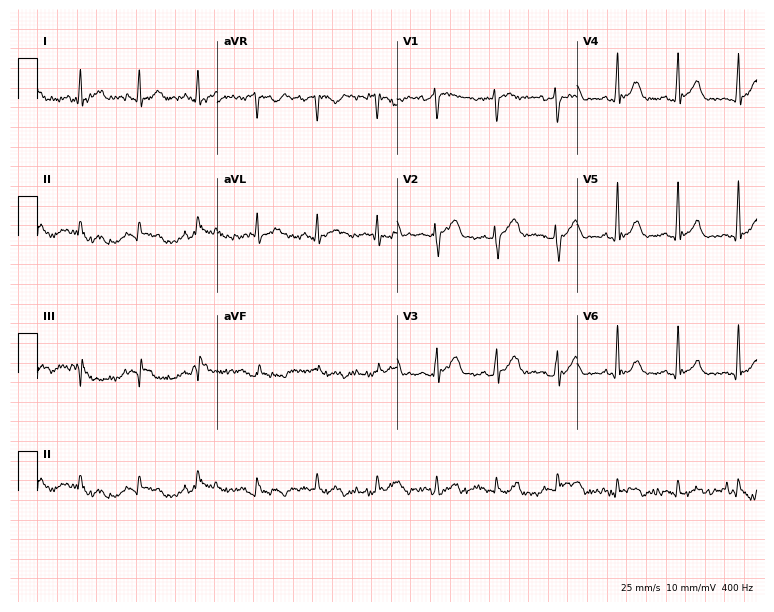
12-lead ECG from a male, 42 years old (7.3-second recording at 400 Hz). No first-degree AV block, right bundle branch block (RBBB), left bundle branch block (LBBB), sinus bradycardia, atrial fibrillation (AF) or sinus tachycardia recorded for this tracing.